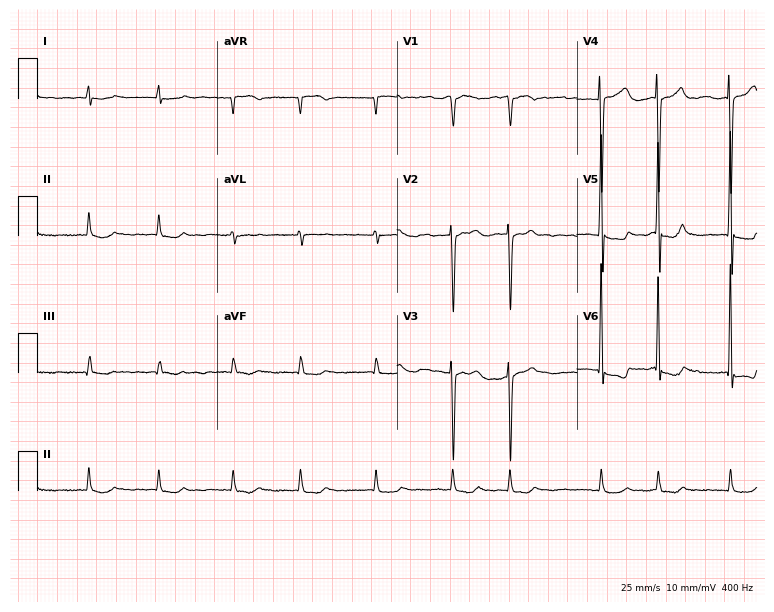
Electrocardiogram (7.3-second recording at 400 Hz), a 70-year-old female. Interpretation includes atrial fibrillation.